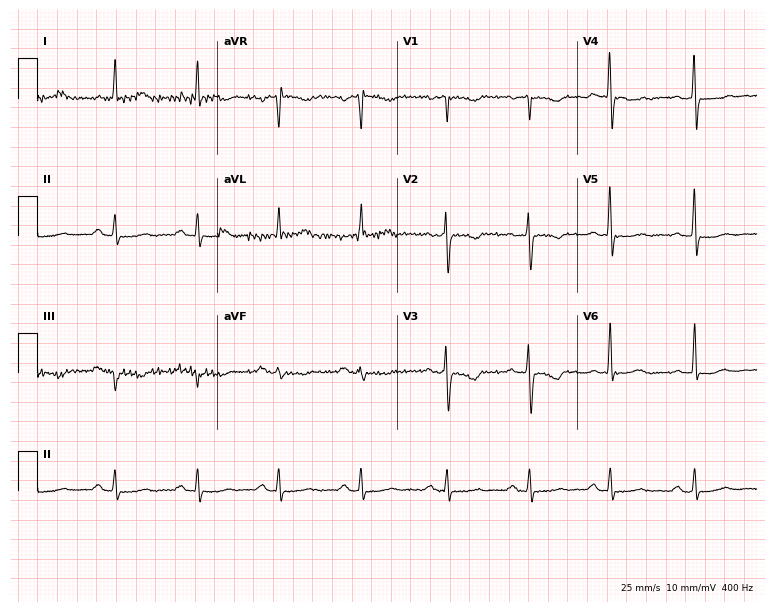
Standard 12-lead ECG recorded from a female patient, 72 years old (7.3-second recording at 400 Hz). None of these six findings is recorded: first-degree AV block, right bundle branch block (RBBB), left bundle branch block (LBBB), sinus bradycardia, atrial fibrillation (AF), sinus tachycardia. Other findings, if any, are not listed.